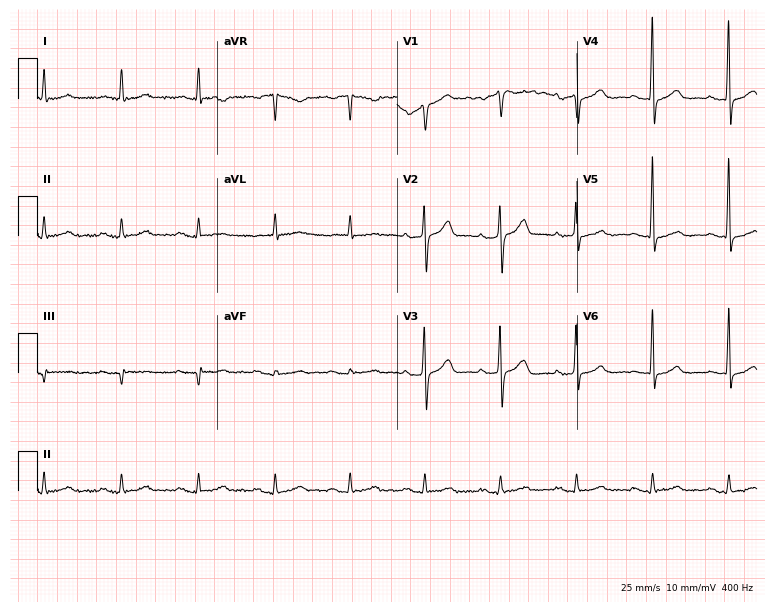
12-lead ECG from a 73-year-old male patient. Labelled as a normal ECG.